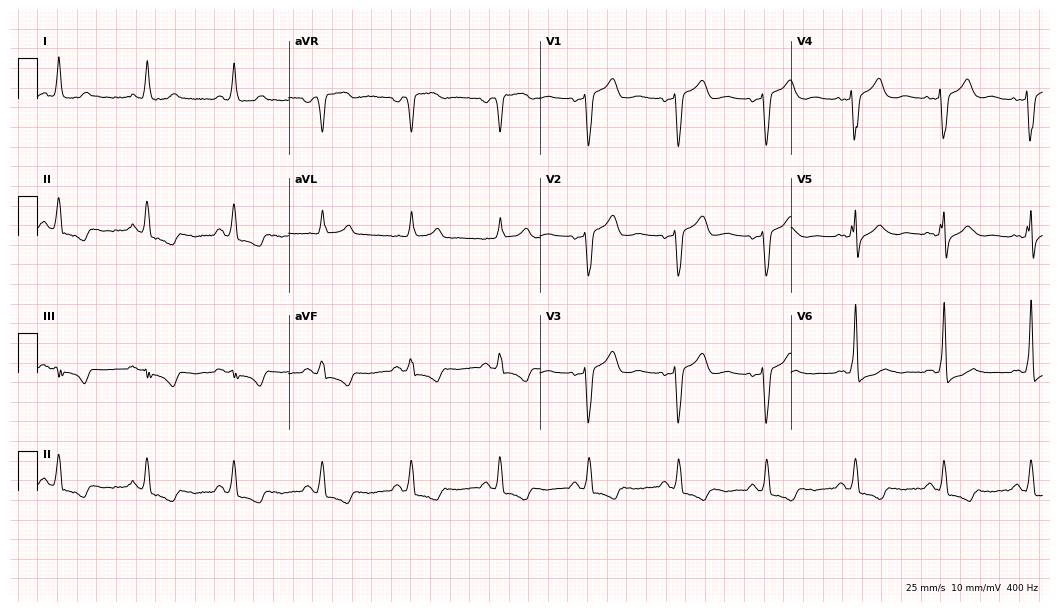
12-lead ECG from a 55-year-old male patient (10.2-second recording at 400 Hz). No first-degree AV block, right bundle branch block, left bundle branch block, sinus bradycardia, atrial fibrillation or sinus tachycardia recorded for this tracing.